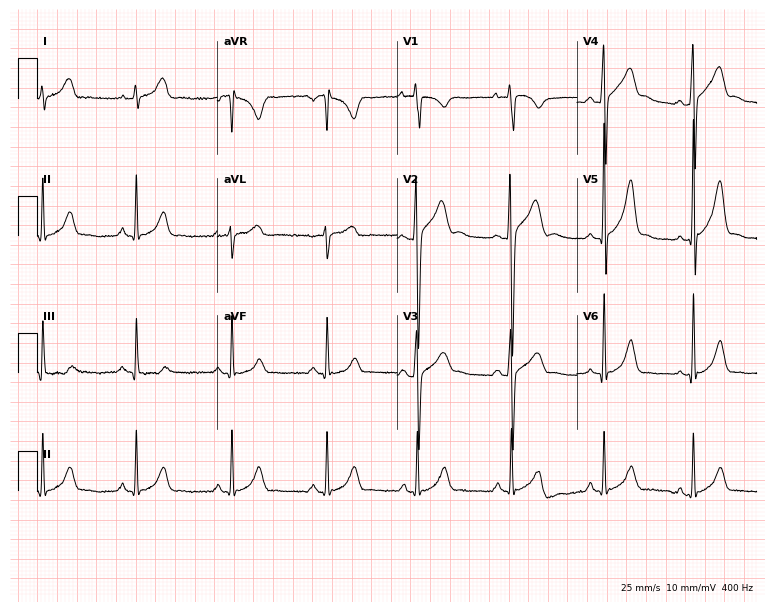
Electrocardiogram (7.3-second recording at 400 Hz), a man, 20 years old. Overall reading on record: normal ECG.